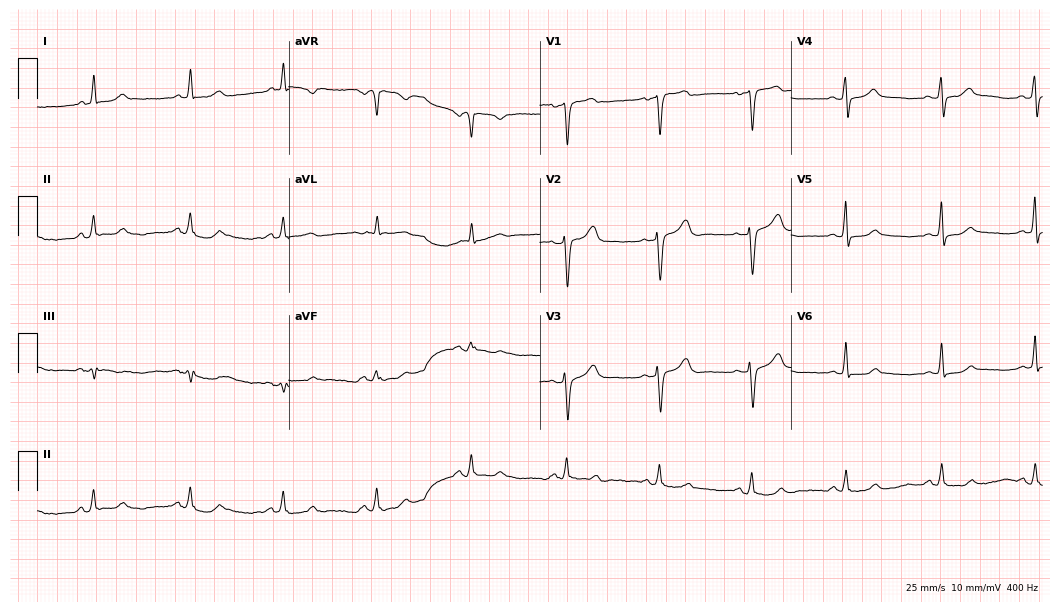
Standard 12-lead ECG recorded from a female patient, 57 years old (10.2-second recording at 400 Hz). Read as a normal ECG.